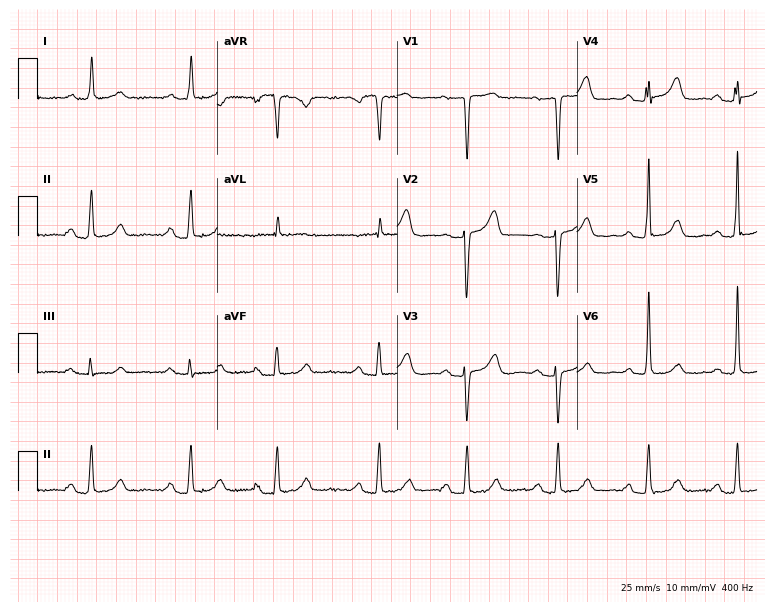
ECG — a 79-year-old woman. Findings include first-degree AV block.